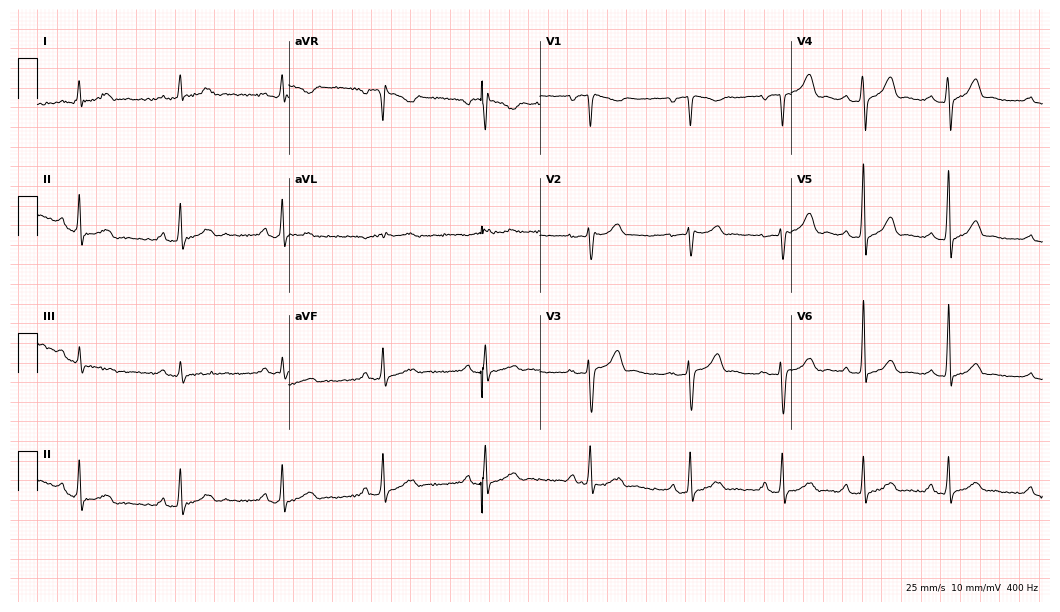
Electrocardiogram, a 48-year-old man. Overall reading on record: normal ECG.